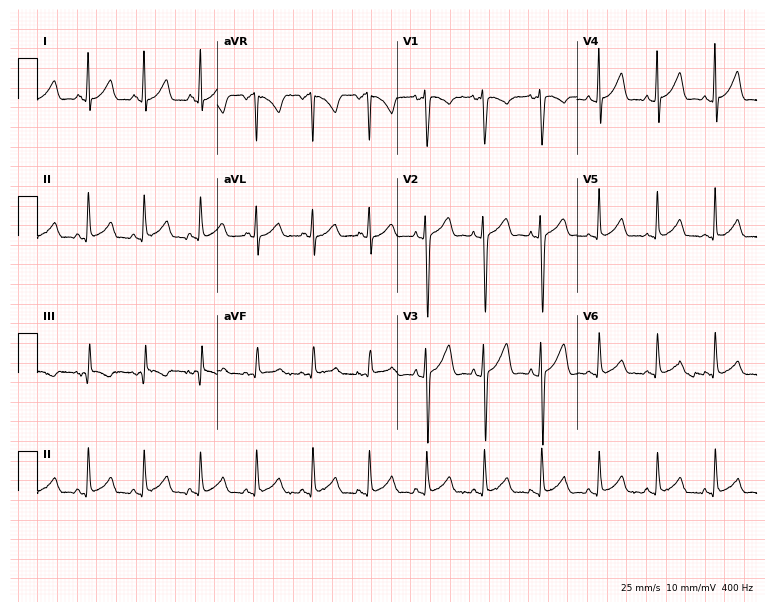
ECG — a 19-year-old woman. Findings include sinus tachycardia (a sinus rate of 100 beats per minute or more).